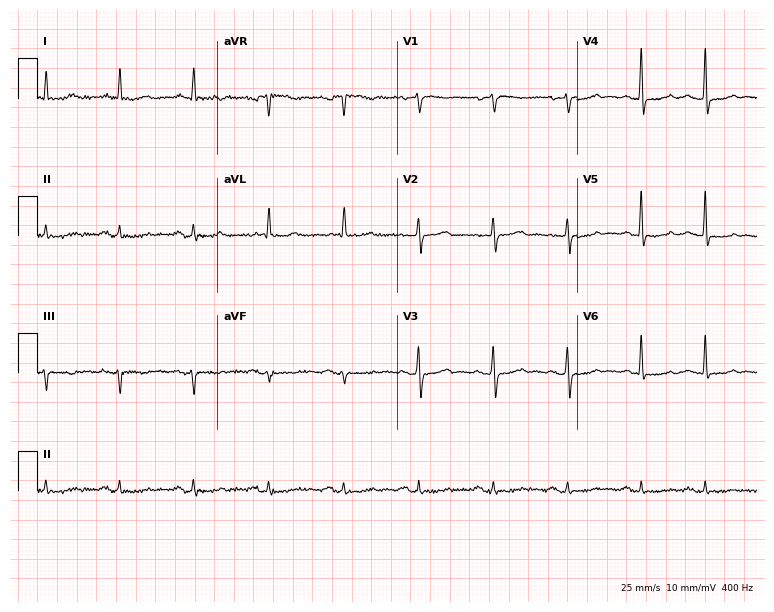
ECG — a 73-year-old male patient. Screened for six findings — first-degree AV block, right bundle branch block, left bundle branch block, sinus bradycardia, atrial fibrillation, sinus tachycardia — none is recorded.